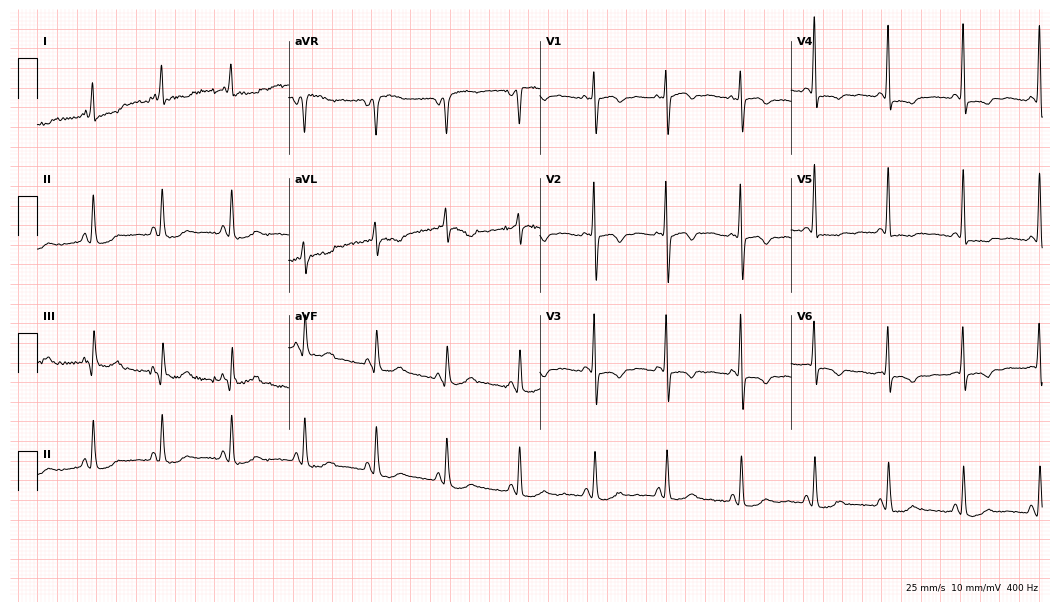
ECG — a 68-year-old female patient. Screened for six findings — first-degree AV block, right bundle branch block (RBBB), left bundle branch block (LBBB), sinus bradycardia, atrial fibrillation (AF), sinus tachycardia — none is recorded. Only these six findings were labelled.